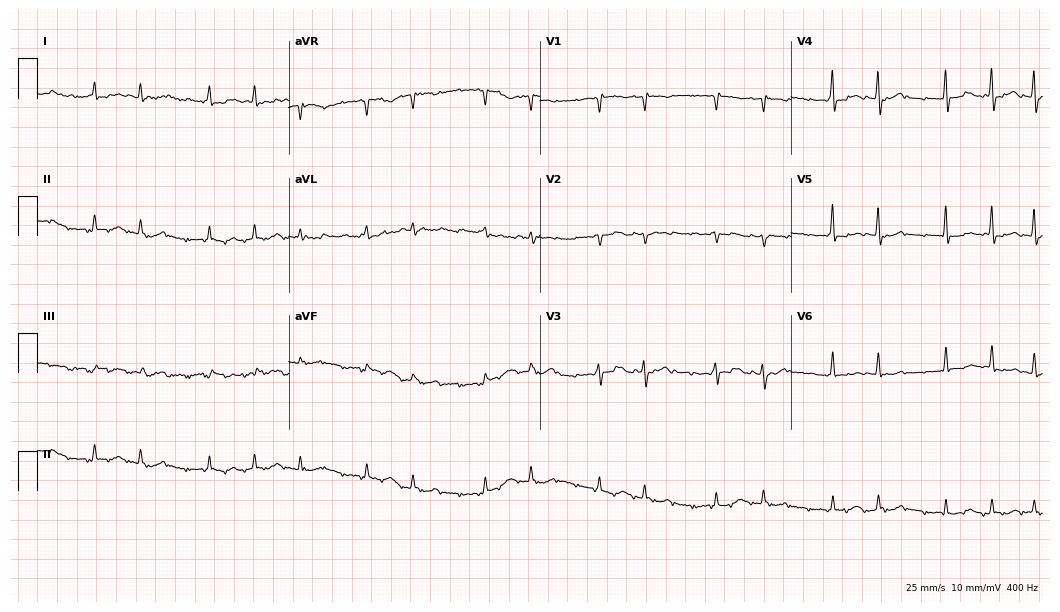
Standard 12-lead ECG recorded from a 79-year-old female (10.2-second recording at 400 Hz). The tracing shows atrial fibrillation.